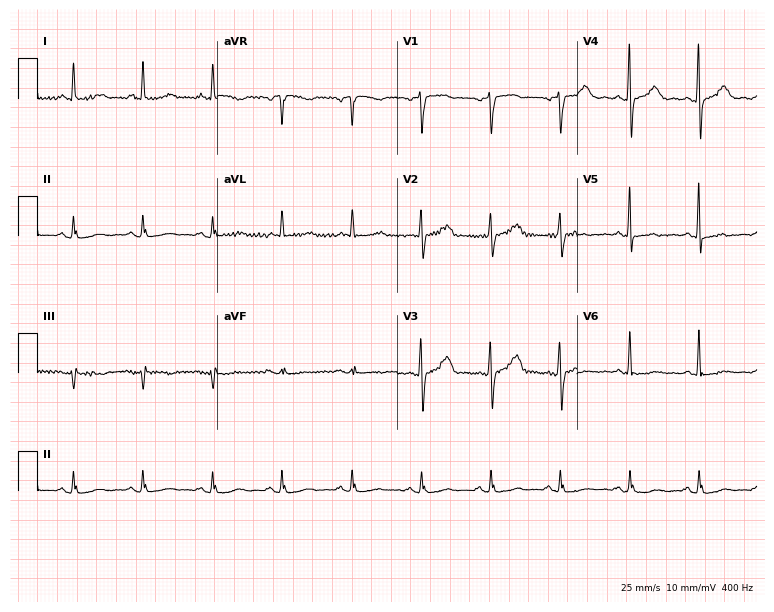
Electrocardiogram, an 80-year-old female. Of the six screened findings (first-degree AV block, right bundle branch block (RBBB), left bundle branch block (LBBB), sinus bradycardia, atrial fibrillation (AF), sinus tachycardia), none is recorded.